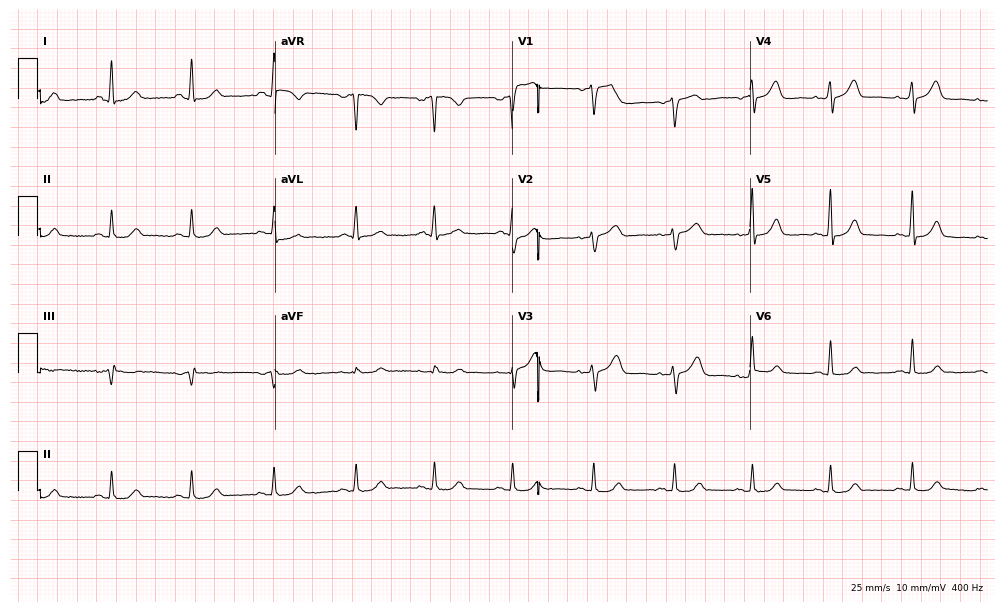
Electrocardiogram (9.7-second recording at 400 Hz), a 51-year-old female. Of the six screened findings (first-degree AV block, right bundle branch block, left bundle branch block, sinus bradycardia, atrial fibrillation, sinus tachycardia), none is recorded. Other findings, if any, are not listed.